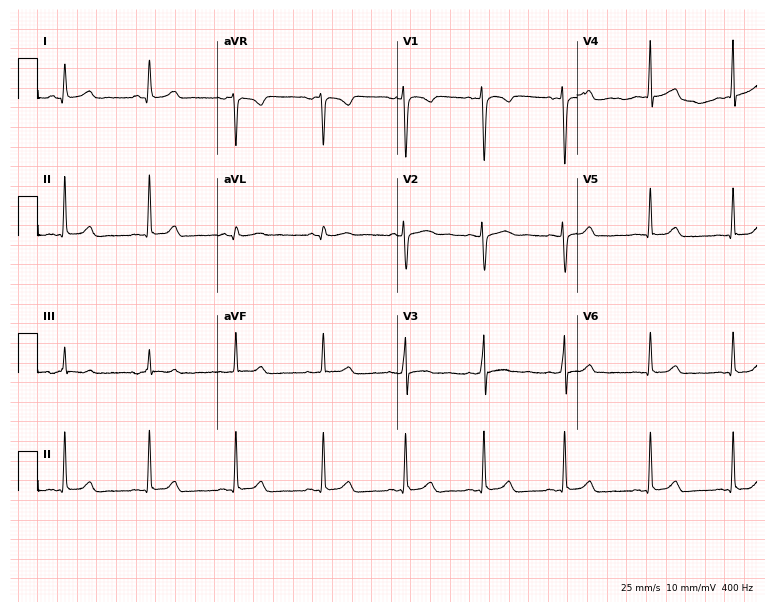
Resting 12-lead electrocardiogram. Patient: a woman, 20 years old. Read as a normal ECG.